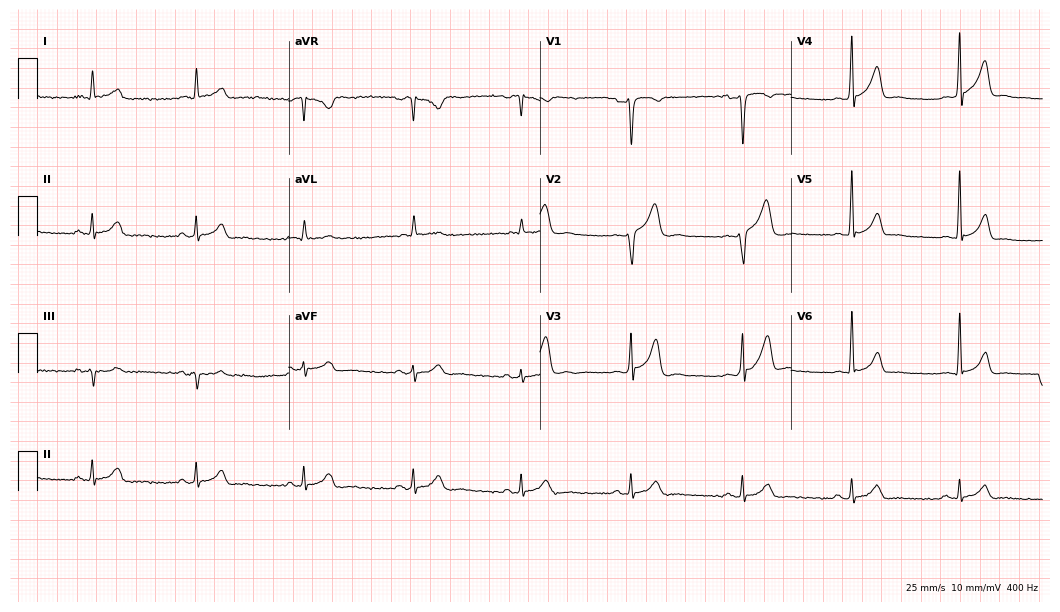
12-lead ECG from a 39-year-old male patient (10.2-second recording at 400 Hz). Recorded interpretation: within normal limits.